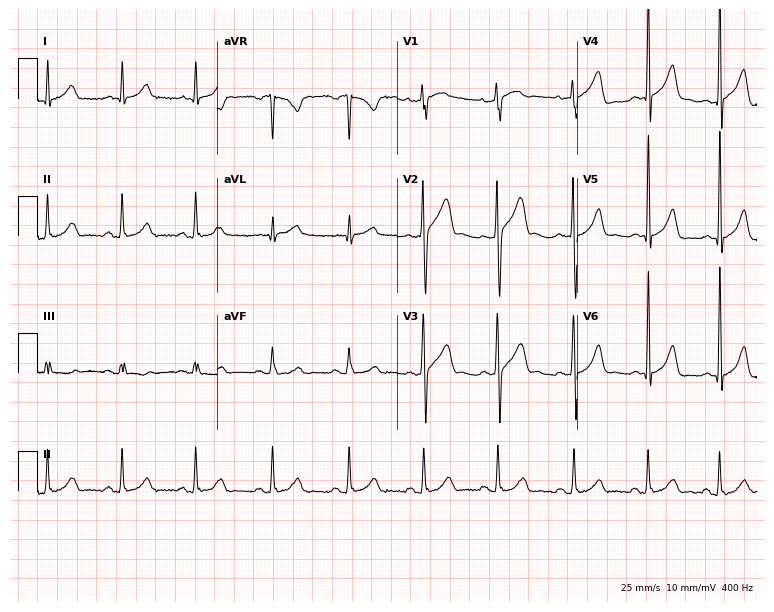
Electrocardiogram (7.3-second recording at 400 Hz), a 43-year-old male. Overall reading on record: normal ECG.